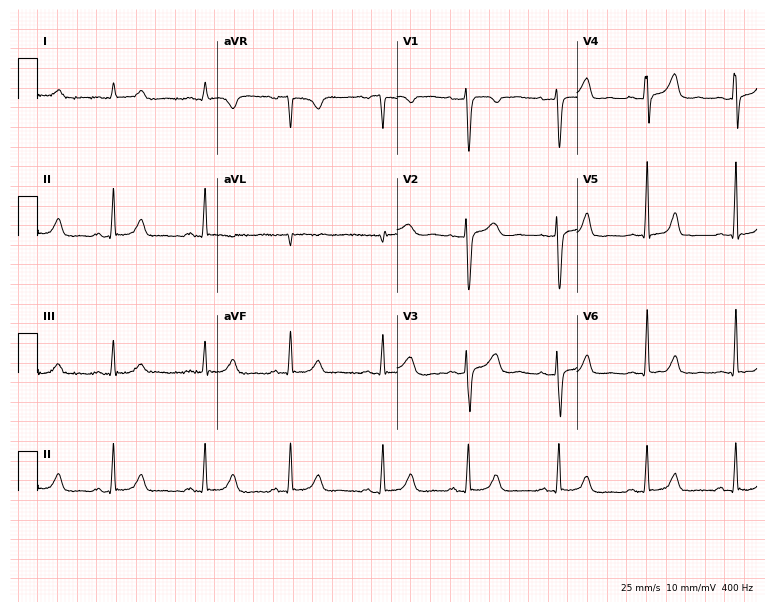
ECG (7.3-second recording at 400 Hz) — a 33-year-old female. Screened for six findings — first-degree AV block, right bundle branch block, left bundle branch block, sinus bradycardia, atrial fibrillation, sinus tachycardia — none is recorded.